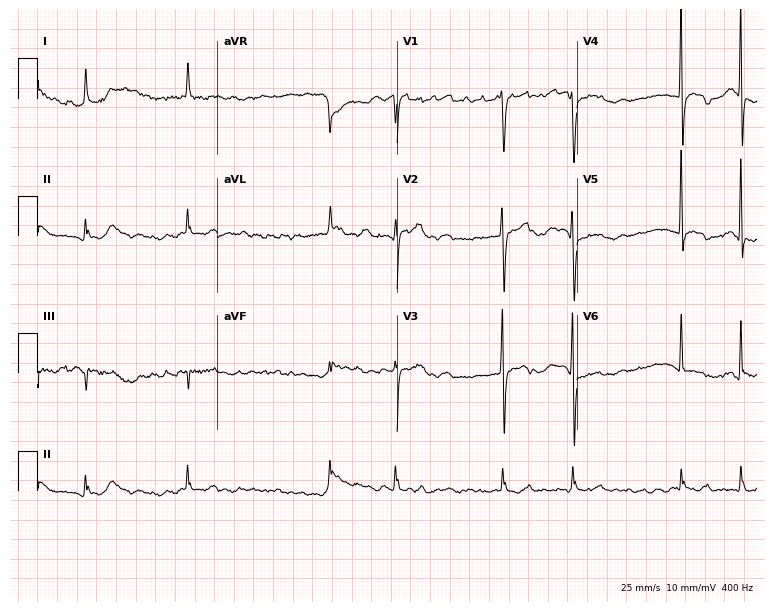
12-lead ECG from a 74-year-old male (7.3-second recording at 400 Hz). Shows atrial fibrillation.